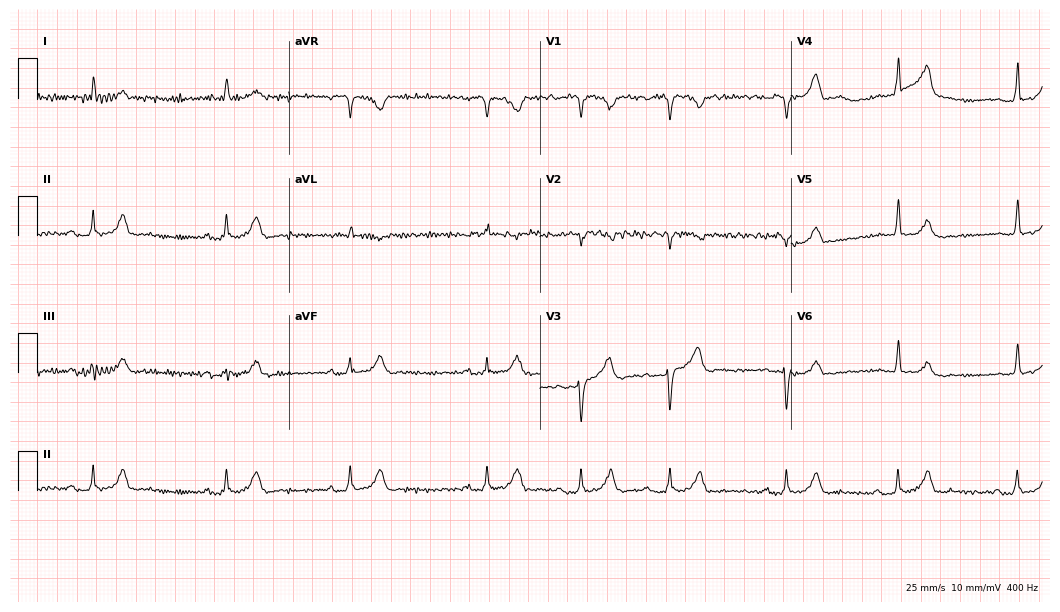
Electrocardiogram, an 81-year-old male. Of the six screened findings (first-degree AV block, right bundle branch block (RBBB), left bundle branch block (LBBB), sinus bradycardia, atrial fibrillation (AF), sinus tachycardia), none is recorded.